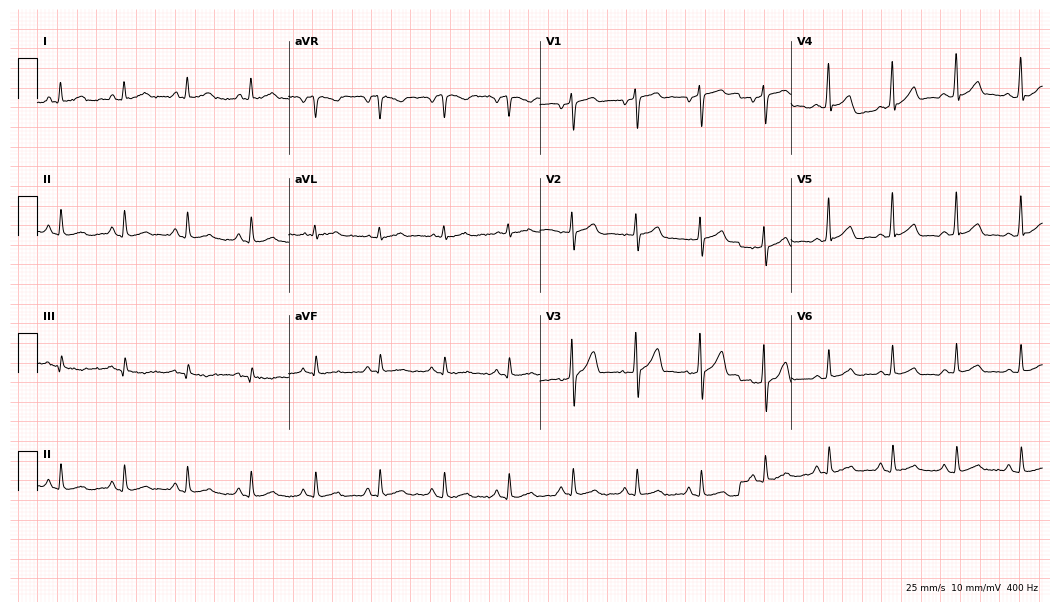
12-lead ECG from a 71-year-old male. Recorded interpretation: within normal limits.